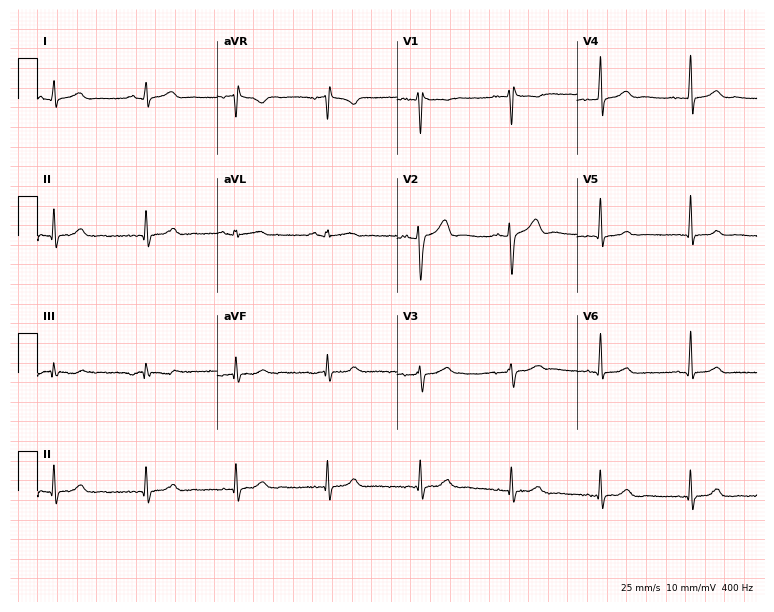
12-lead ECG from a 37-year-old man (7.3-second recording at 400 Hz). Recorded interpretation: within normal limits.